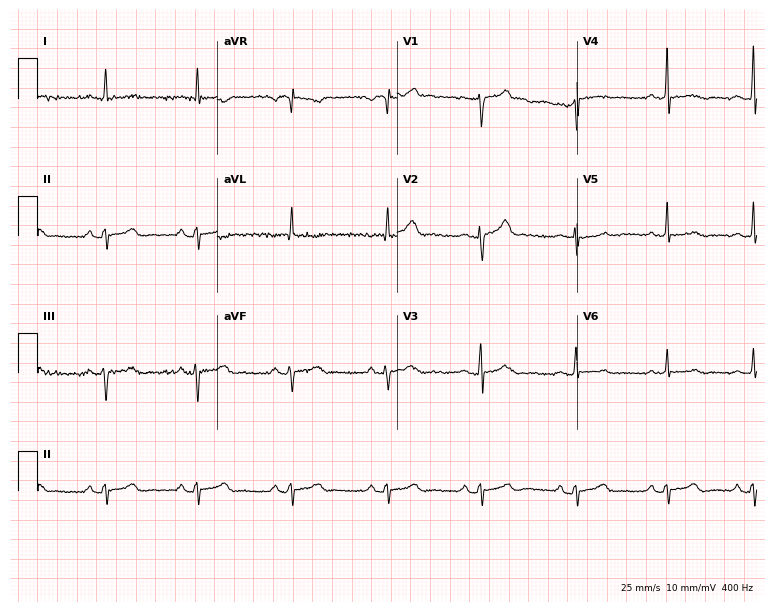
Standard 12-lead ECG recorded from a 49-year-old male. None of these six findings is recorded: first-degree AV block, right bundle branch block, left bundle branch block, sinus bradycardia, atrial fibrillation, sinus tachycardia.